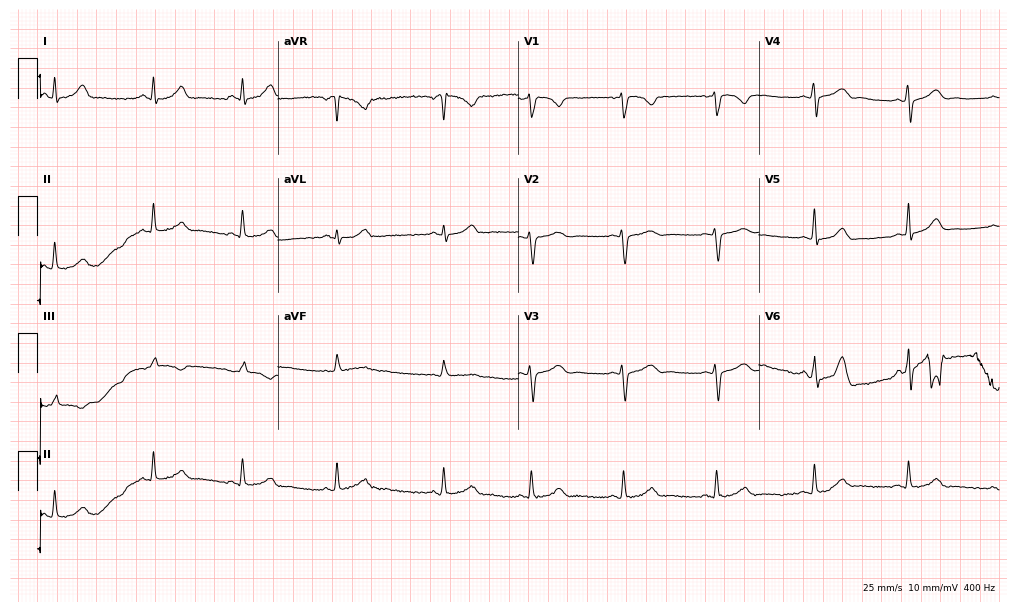
12-lead ECG (9.8-second recording at 400 Hz) from a female, 17 years old. Labelled as a normal ECG.